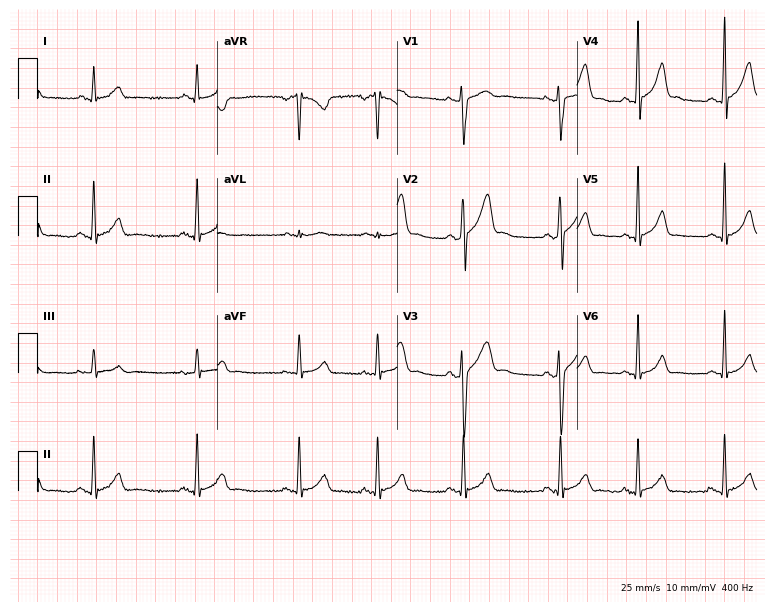
Electrocardiogram, a male patient, 18 years old. Overall reading on record: normal ECG.